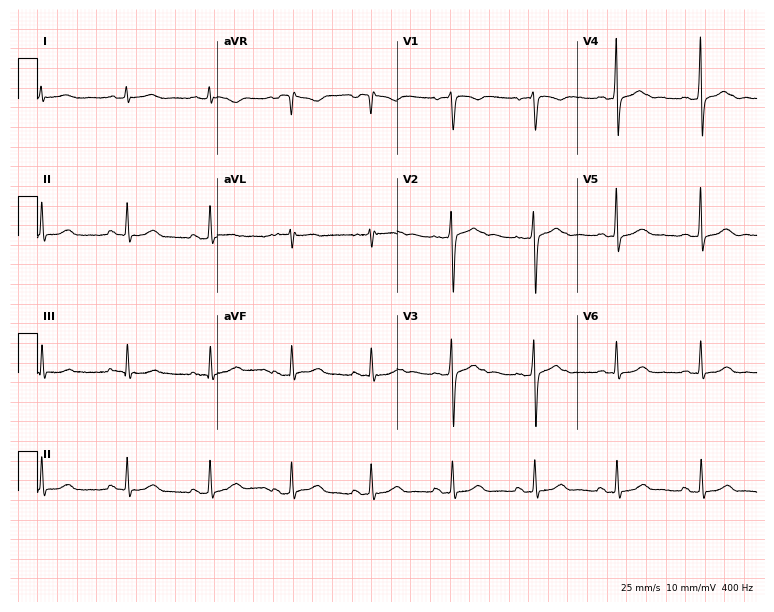
Electrocardiogram (7.3-second recording at 400 Hz), a man, 29 years old. Overall reading on record: normal ECG.